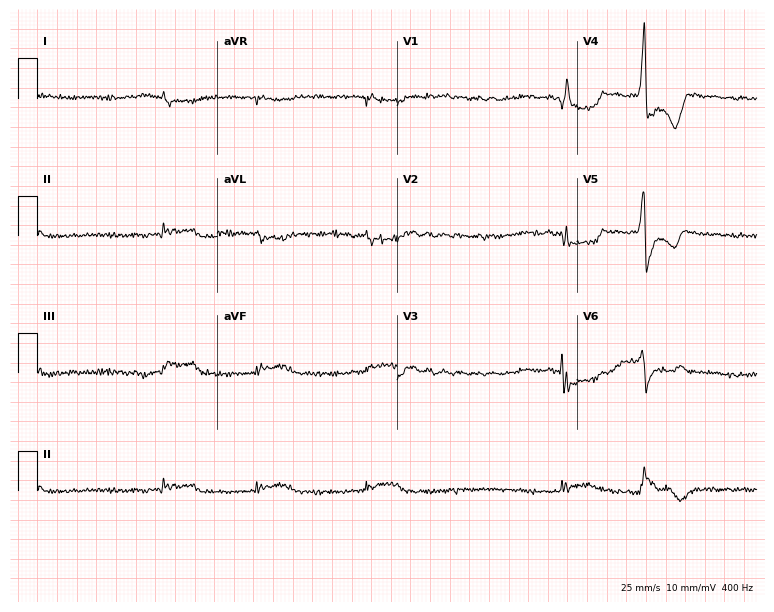
Standard 12-lead ECG recorded from a male, 85 years old (7.3-second recording at 400 Hz). None of these six findings is recorded: first-degree AV block, right bundle branch block (RBBB), left bundle branch block (LBBB), sinus bradycardia, atrial fibrillation (AF), sinus tachycardia.